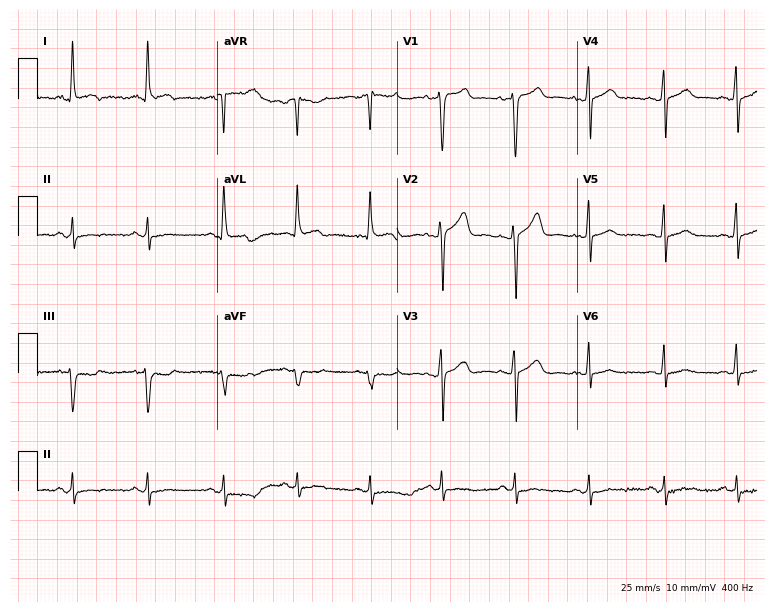
12-lead ECG (7.3-second recording at 400 Hz) from a 35-year-old male patient. Screened for six findings — first-degree AV block, right bundle branch block, left bundle branch block, sinus bradycardia, atrial fibrillation, sinus tachycardia — none is recorded. Findings outside these six are not listed.